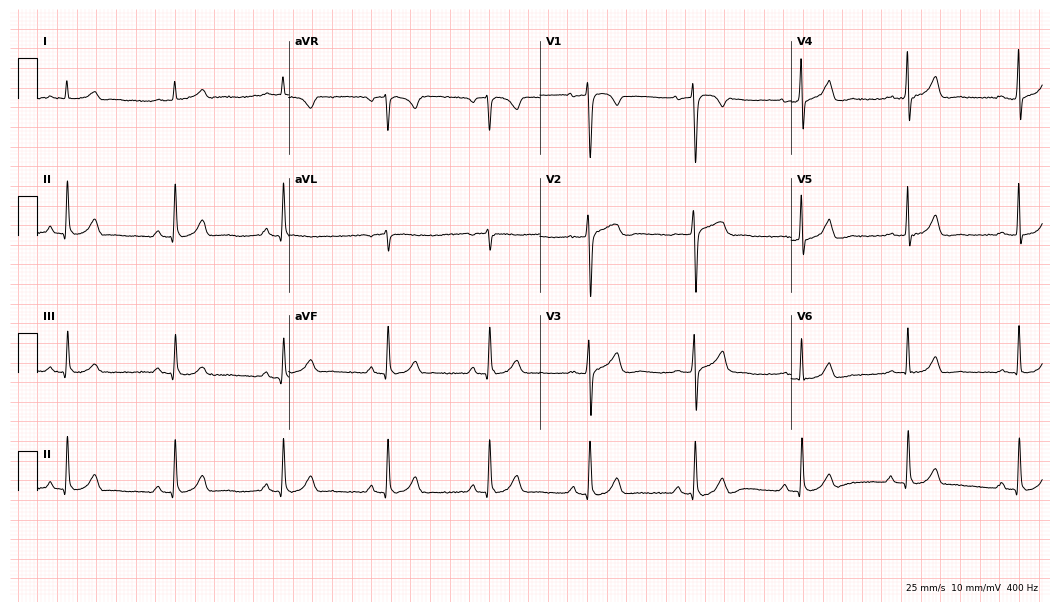
Standard 12-lead ECG recorded from a man, 68 years old. Read as a normal ECG.